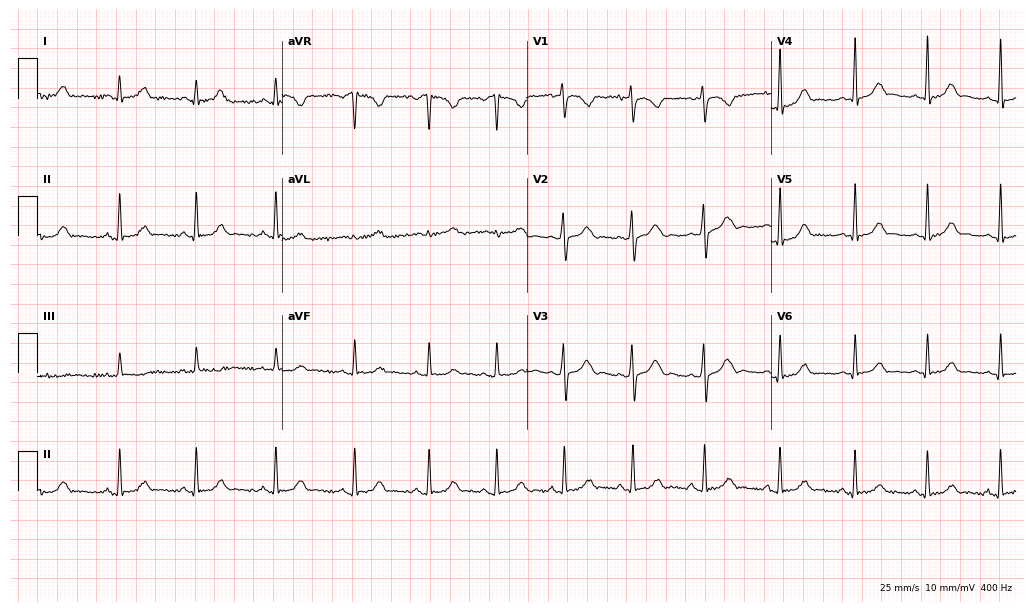
12-lead ECG from a woman, 21 years old. Recorded interpretation: within normal limits.